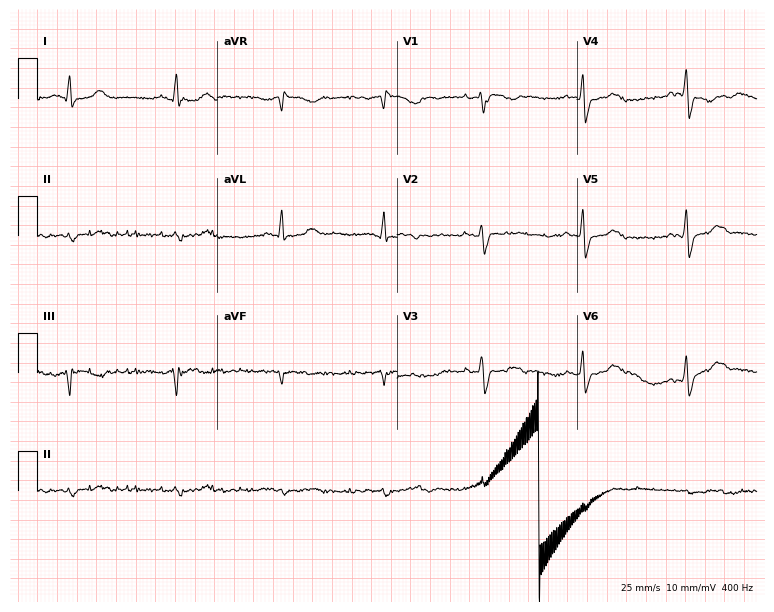
ECG (7.3-second recording at 400 Hz) — a male, 60 years old. Screened for six findings — first-degree AV block, right bundle branch block, left bundle branch block, sinus bradycardia, atrial fibrillation, sinus tachycardia — none is recorded.